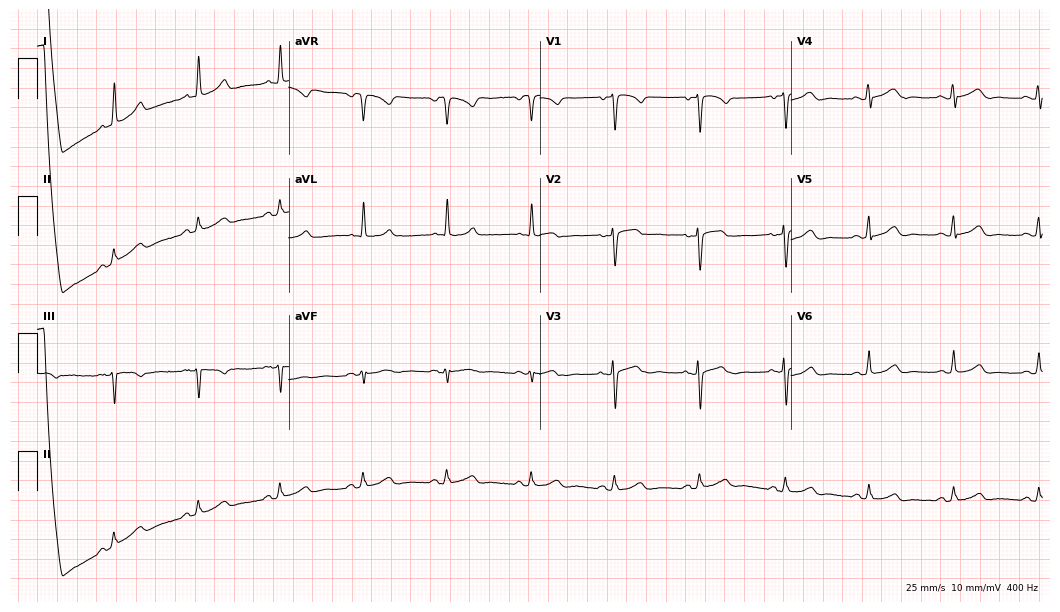
ECG (10.2-second recording at 400 Hz) — a 45-year-old female patient. Labelled as a normal ECG.